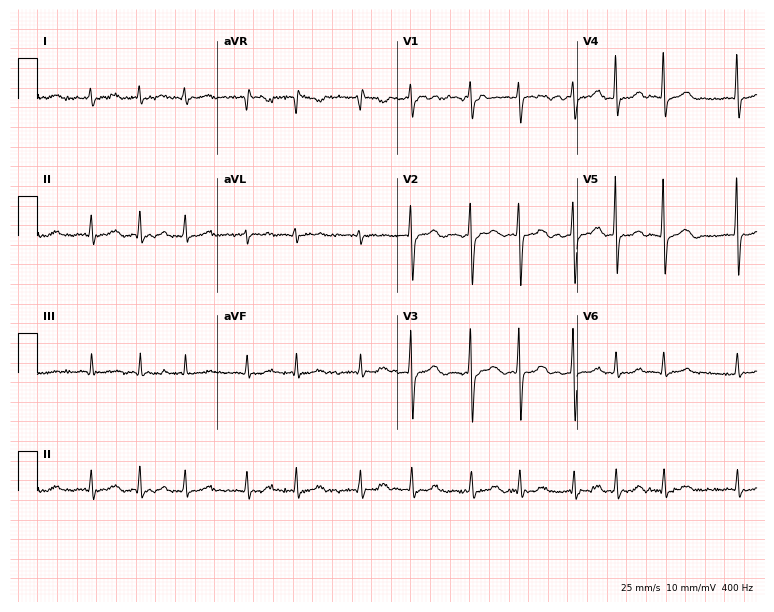
ECG (7.3-second recording at 400 Hz) — a 65-year-old female. Findings include atrial fibrillation.